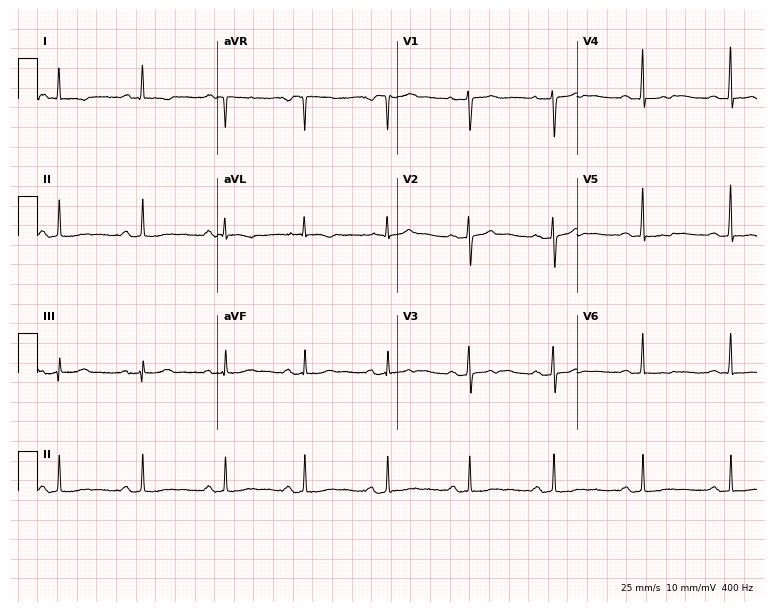
Electrocardiogram, a 55-year-old female. Of the six screened findings (first-degree AV block, right bundle branch block (RBBB), left bundle branch block (LBBB), sinus bradycardia, atrial fibrillation (AF), sinus tachycardia), none is recorded.